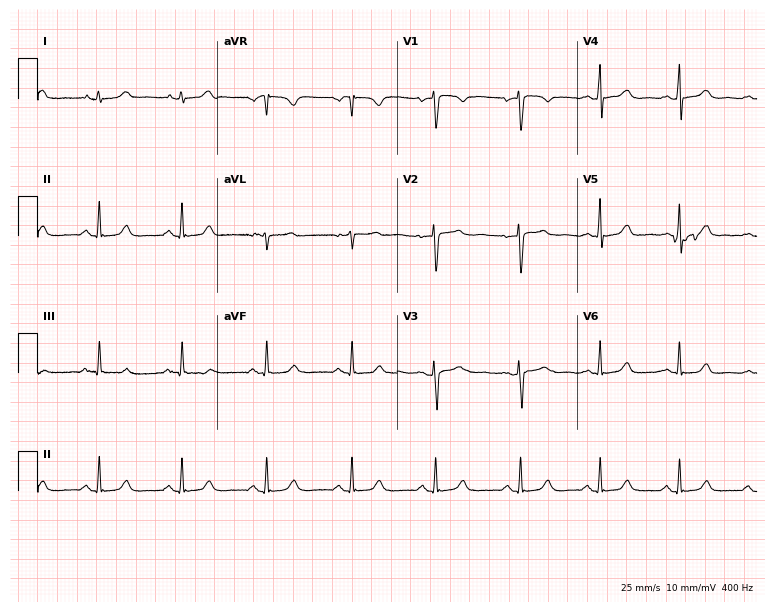
Resting 12-lead electrocardiogram. Patient: a female, 33 years old. Read as a normal ECG.